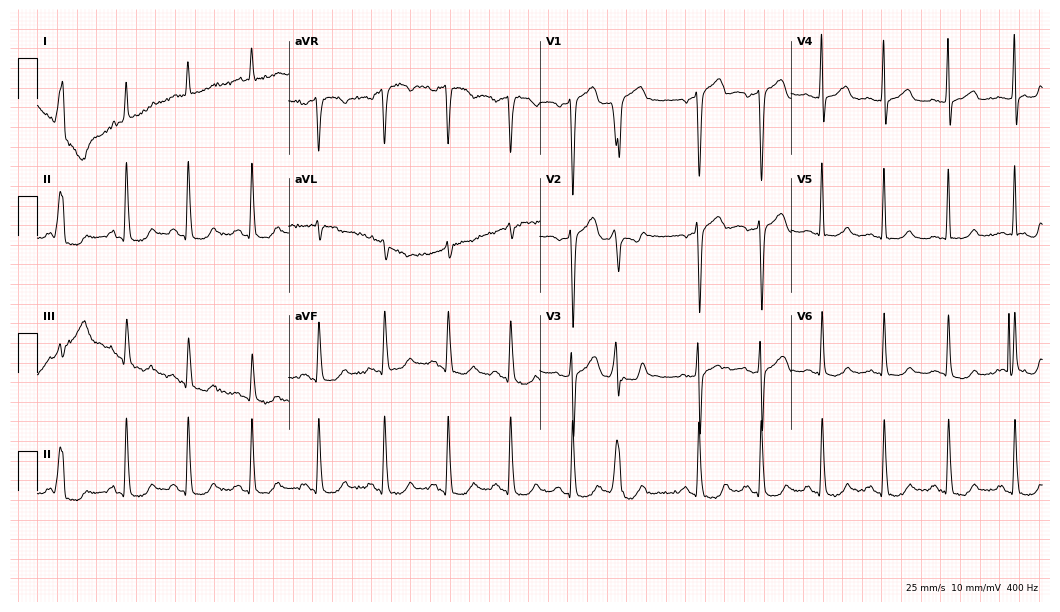
12-lead ECG from a 74-year-old man. No first-degree AV block, right bundle branch block, left bundle branch block, sinus bradycardia, atrial fibrillation or sinus tachycardia recorded for this tracing. Other findings, if any, are not listed.